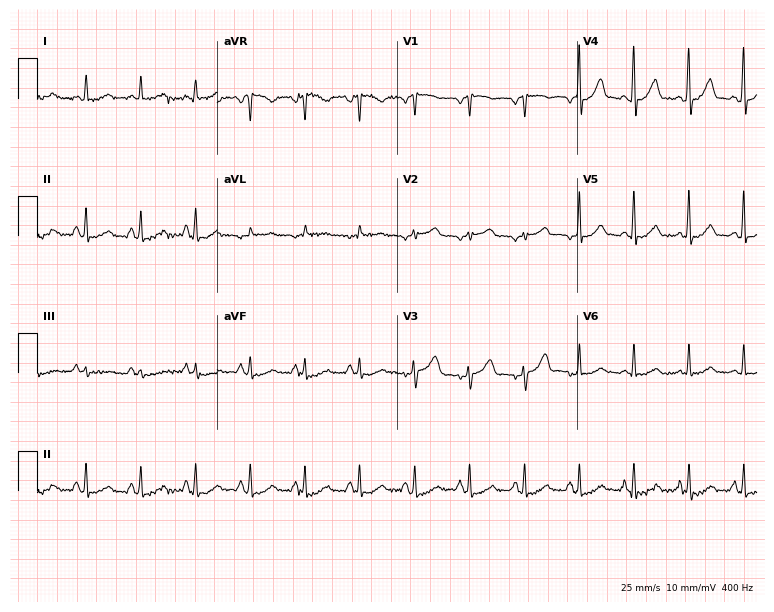
Resting 12-lead electrocardiogram. Patient: a female, 67 years old. None of these six findings is recorded: first-degree AV block, right bundle branch block (RBBB), left bundle branch block (LBBB), sinus bradycardia, atrial fibrillation (AF), sinus tachycardia. Other findings, if any, are not listed.